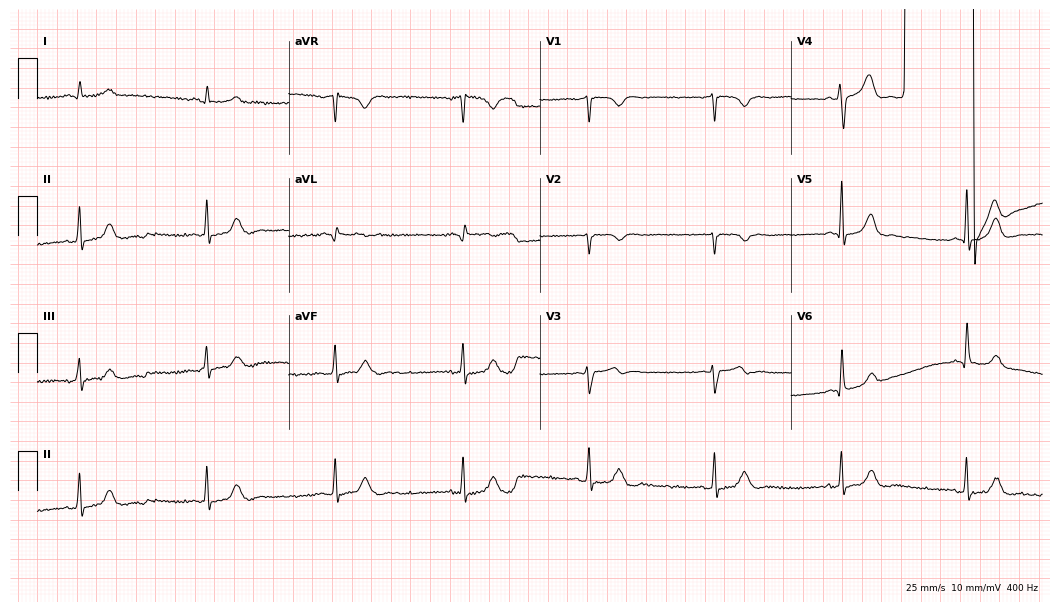
Electrocardiogram (10.2-second recording at 400 Hz), a 51-year-old man. Of the six screened findings (first-degree AV block, right bundle branch block, left bundle branch block, sinus bradycardia, atrial fibrillation, sinus tachycardia), none is recorded.